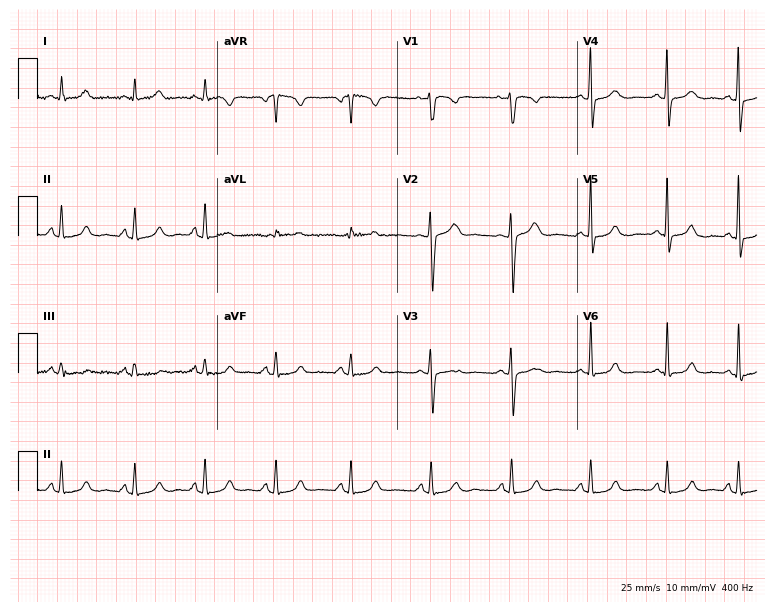
ECG — a 44-year-old female patient. Labelled as a normal ECG.